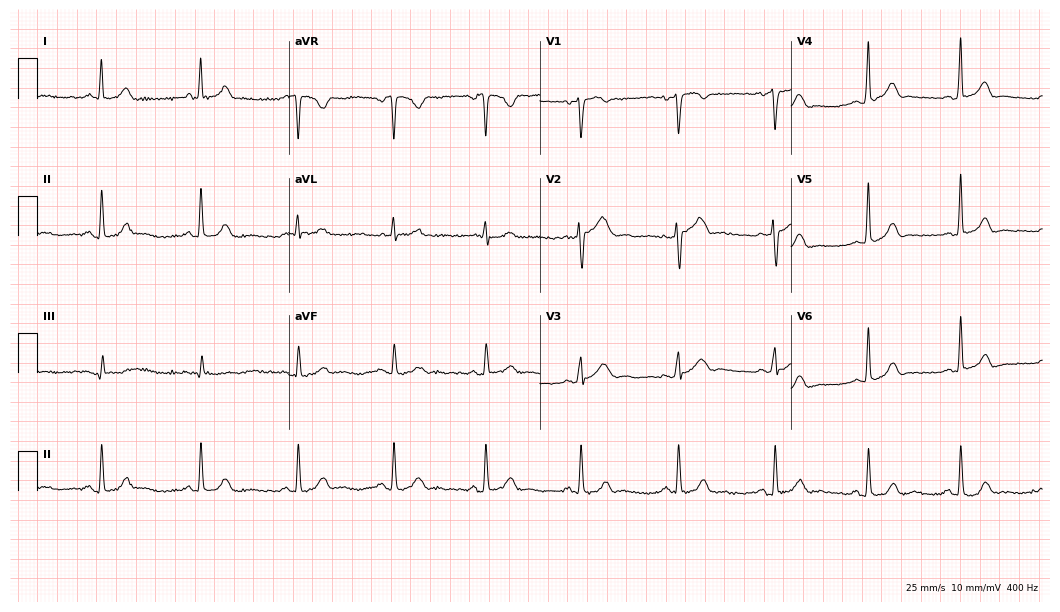
12-lead ECG from a 37-year-old female patient (10.2-second recording at 400 Hz). Recorded interpretation: within normal limits.